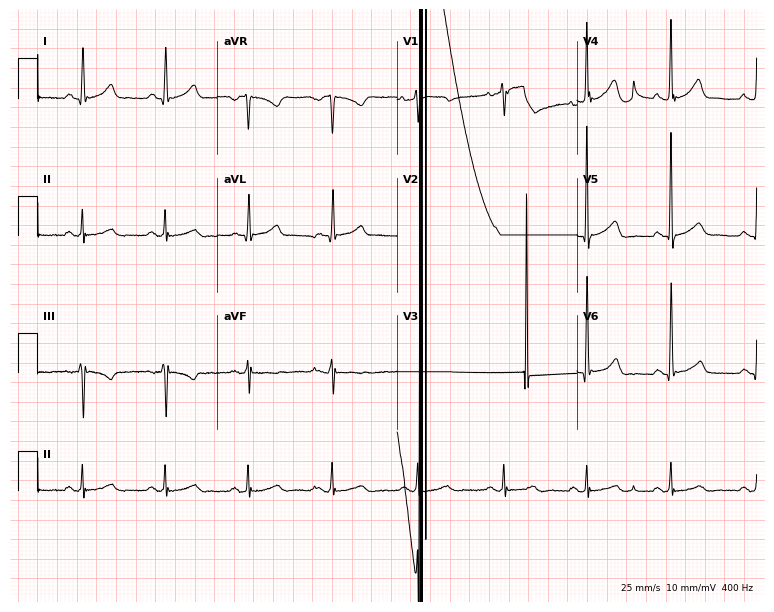
Resting 12-lead electrocardiogram (7.3-second recording at 400 Hz). Patient: a 55-year-old male. None of these six findings is recorded: first-degree AV block, right bundle branch block (RBBB), left bundle branch block (LBBB), sinus bradycardia, atrial fibrillation (AF), sinus tachycardia. Findings outside these six are not listed.